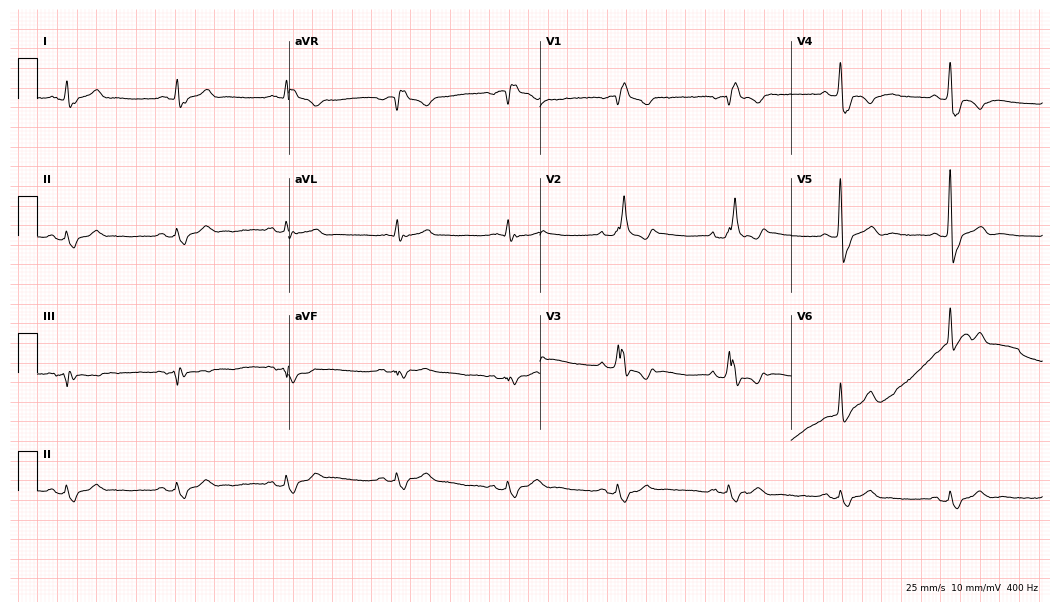
Electrocardiogram, a male, 61 years old. Of the six screened findings (first-degree AV block, right bundle branch block, left bundle branch block, sinus bradycardia, atrial fibrillation, sinus tachycardia), none is recorded.